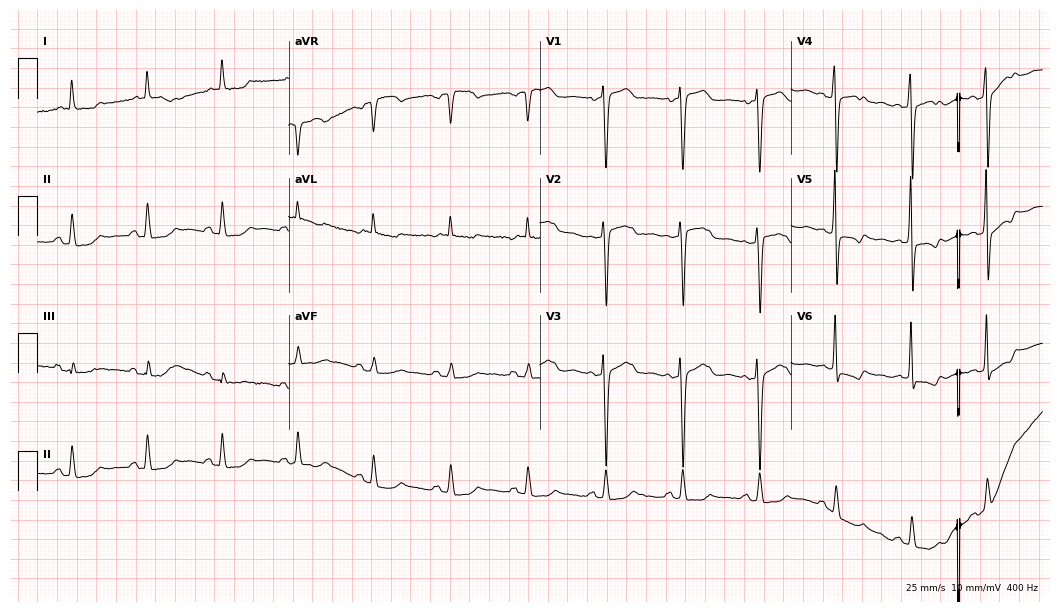
ECG — an 84-year-old woman. Labelled as a normal ECG.